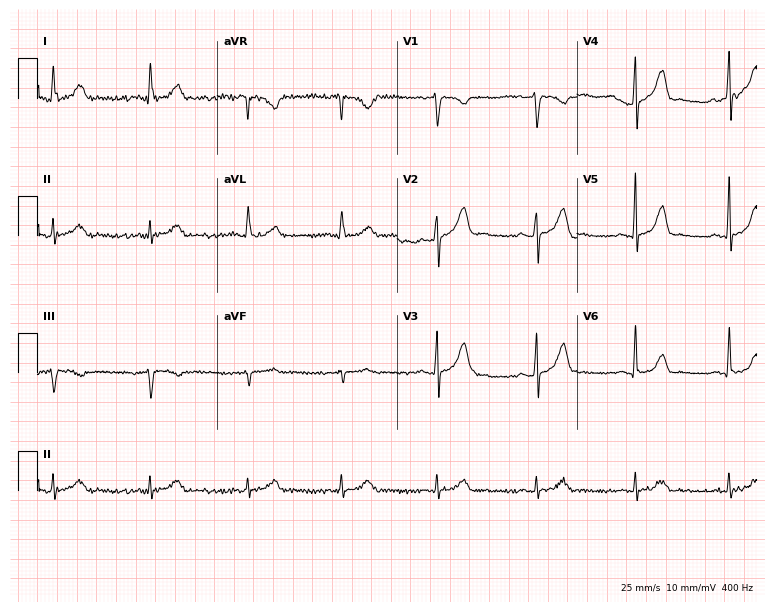
Resting 12-lead electrocardiogram (7.3-second recording at 400 Hz). Patient: a woman, 30 years old. Read as a normal ECG.